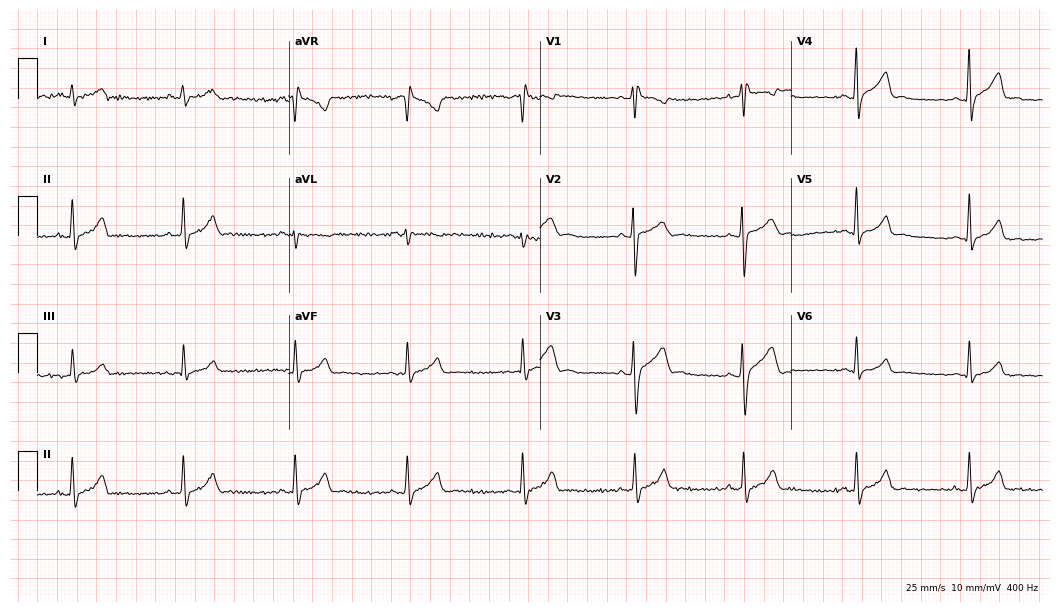
12-lead ECG (10.2-second recording at 400 Hz) from a male patient, 27 years old. Screened for six findings — first-degree AV block, right bundle branch block, left bundle branch block, sinus bradycardia, atrial fibrillation, sinus tachycardia — none is recorded. Other findings, if any, are not listed.